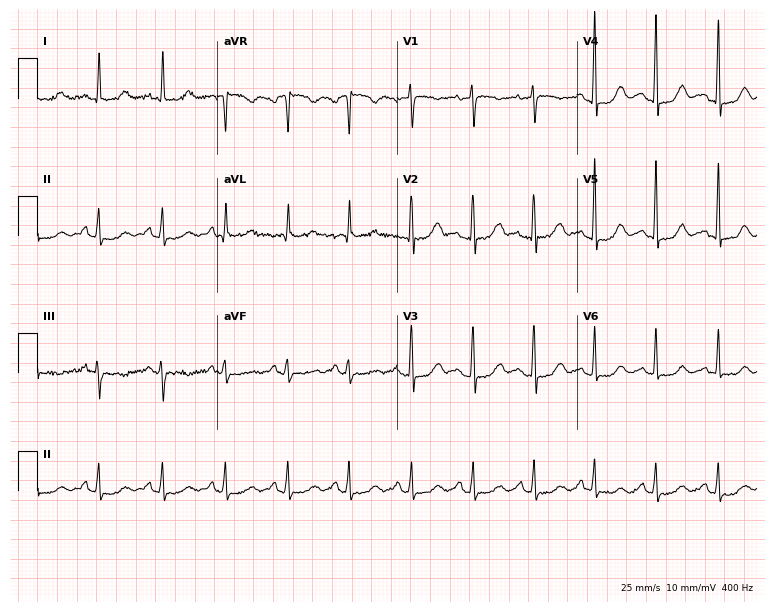
ECG (7.3-second recording at 400 Hz) — a female, 64 years old. Screened for six findings — first-degree AV block, right bundle branch block (RBBB), left bundle branch block (LBBB), sinus bradycardia, atrial fibrillation (AF), sinus tachycardia — none is recorded.